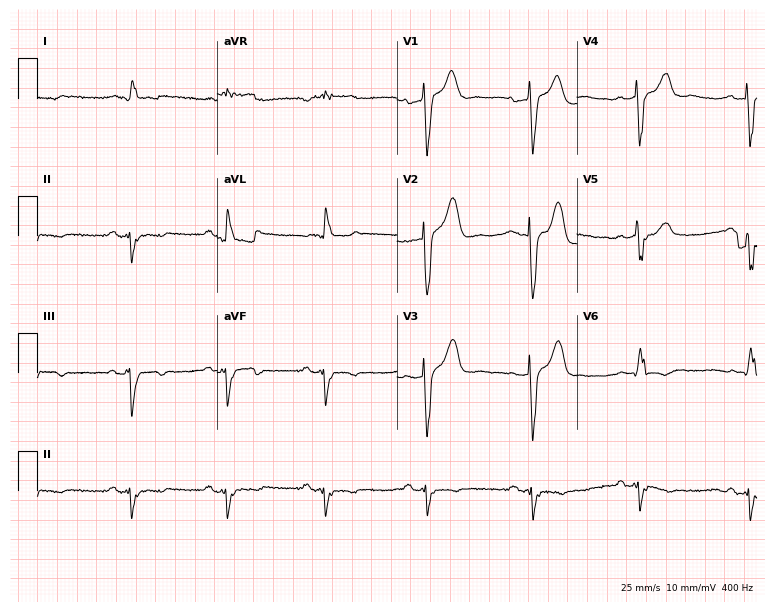
12-lead ECG from a 66-year-old man. Screened for six findings — first-degree AV block, right bundle branch block, left bundle branch block, sinus bradycardia, atrial fibrillation, sinus tachycardia — none is recorded.